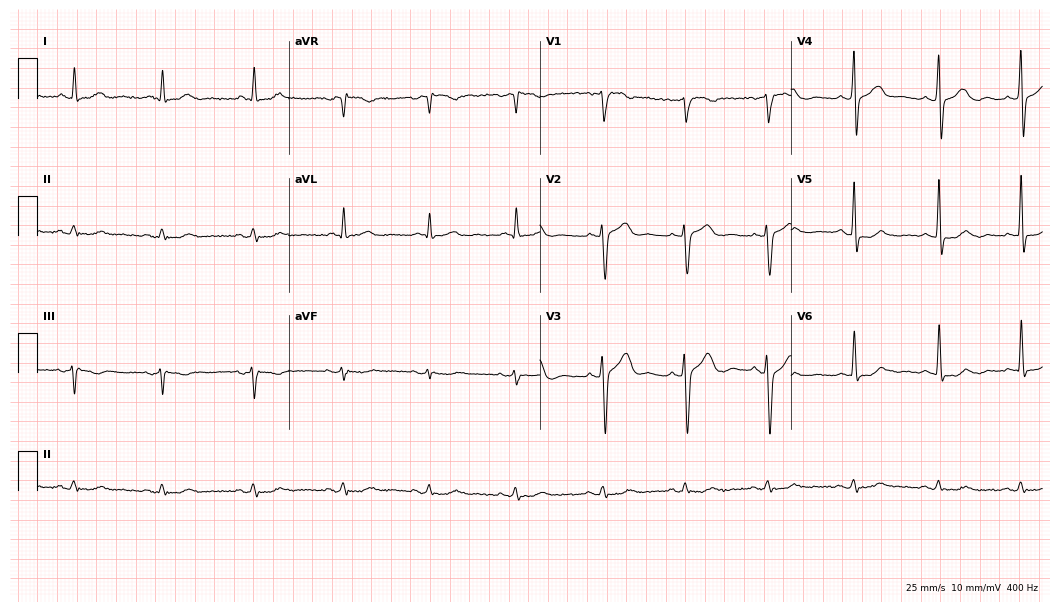
Standard 12-lead ECG recorded from a man, 72 years old (10.2-second recording at 400 Hz). Read as a normal ECG.